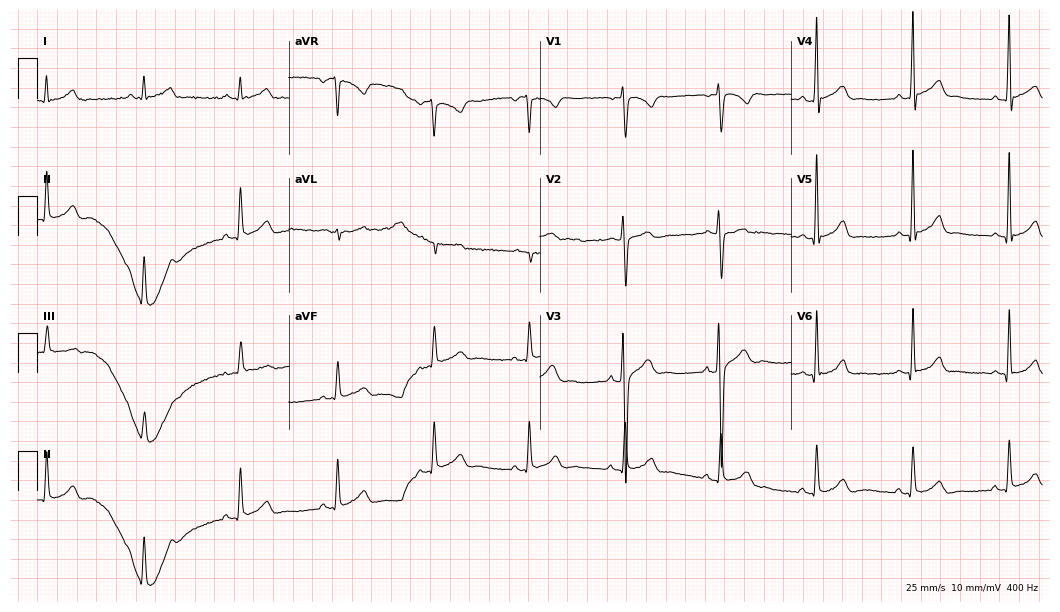
Electrocardiogram (10.2-second recording at 400 Hz), a 43-year-old male patient. Overall reading on record: normal ECG.